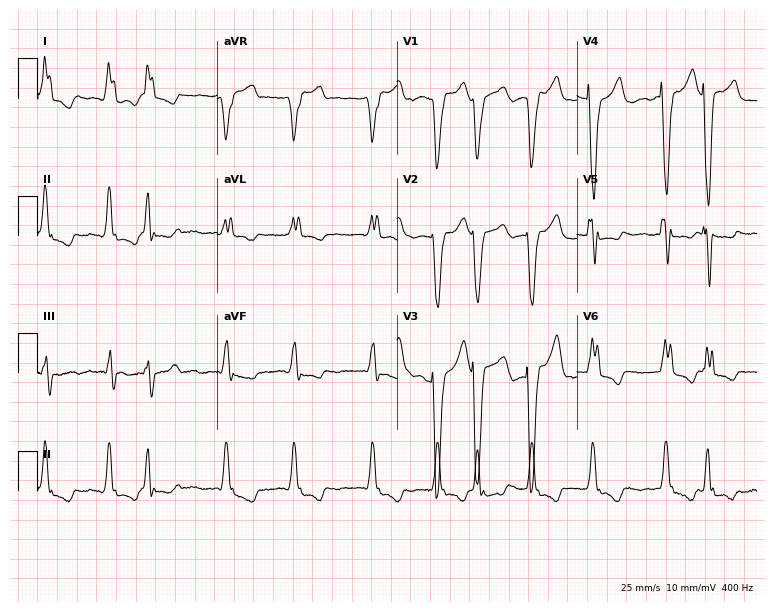
12-lead ECG from a 73-year-old female. Shows left bundle branch block (LBBB), atrial fibrillation (AF).